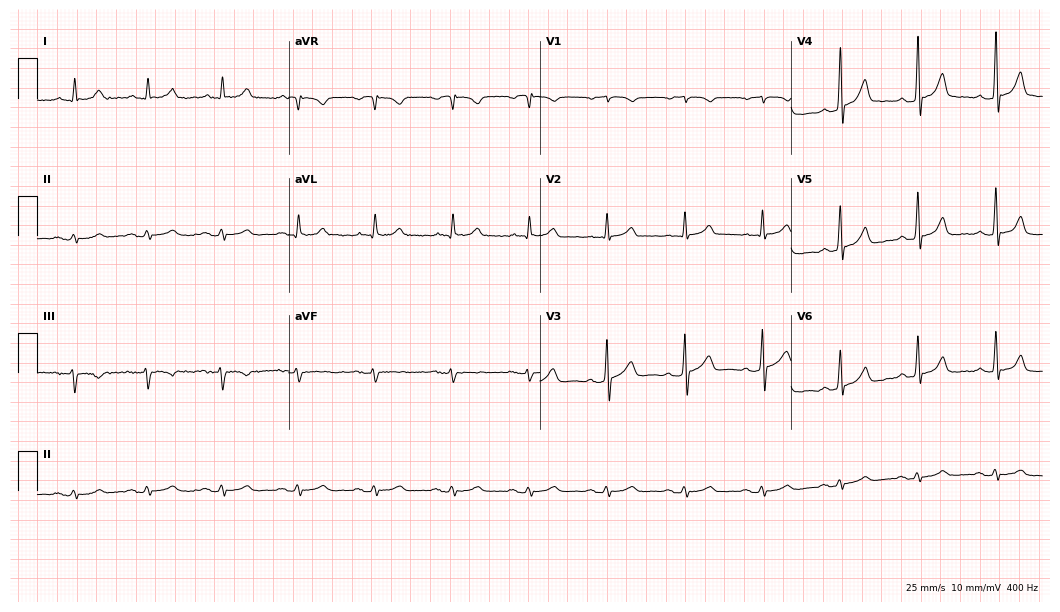
12-lead ECG from a 76-year-old man. Recorded interpretation: within normal limits.